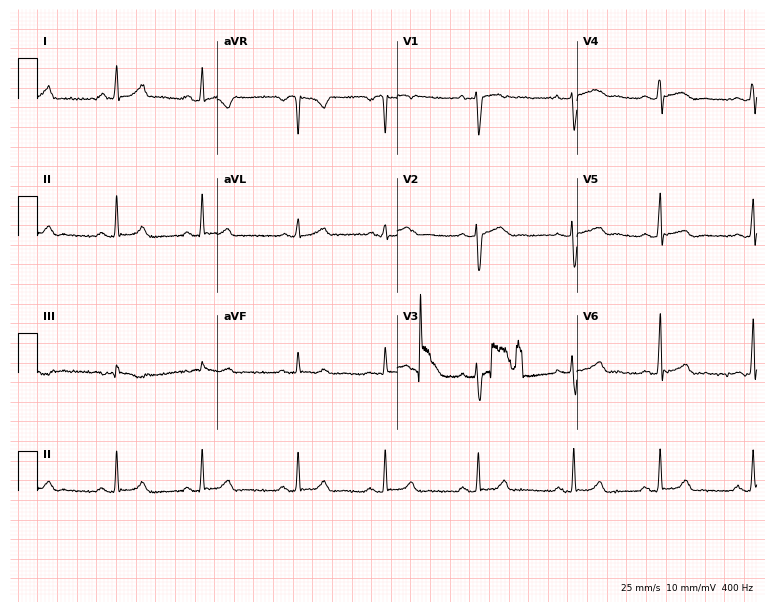
Electrocardiogram (7.3-second recording at 400 Hz), a female patient, 25 years old. Of the six screened findings (first-degree AV block, right bundle branch block, left bundle branch block, sinus bradycardia, atrial fibrillation, sinus tachycardia), none is recorded.